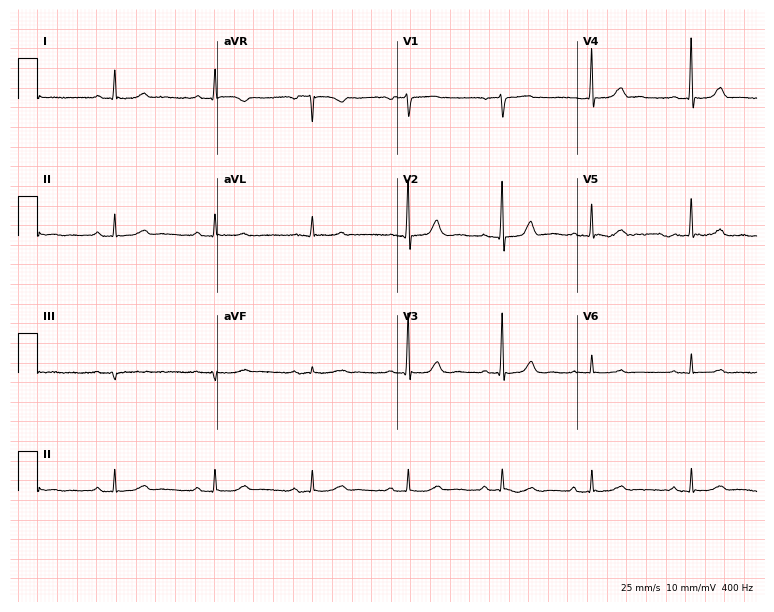
12-lead ECG (7.3-second recording at 400 Hz) from a 76-year-old female patient. Labelled as a normal ECG.